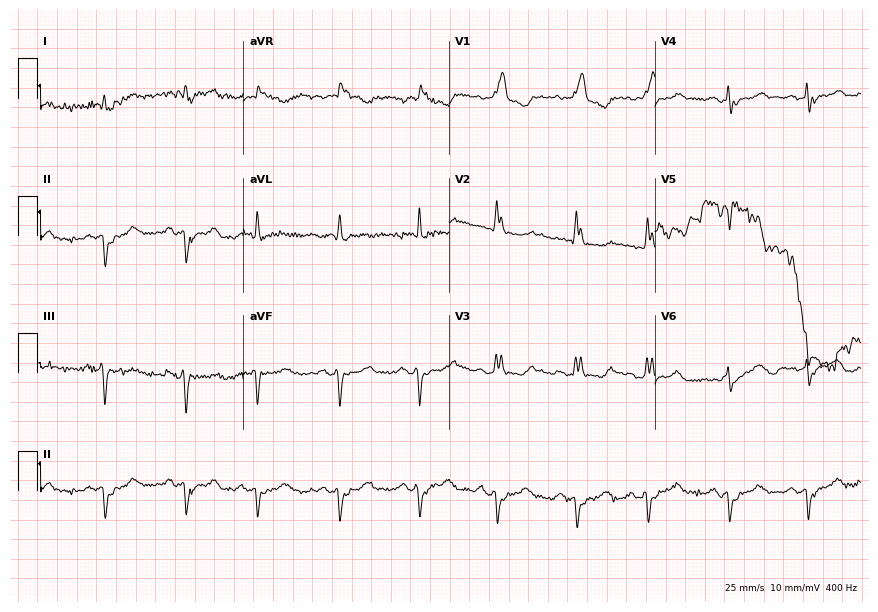
ECG (8.4-second recording at 400 Hz) — a female, 76 years old. Screened for six findings — first-degree AV block, right bundle branch block, left bundle branch block, sinus bradycardia, atrial fibrillation, sinus tachycardia — none is recorded.